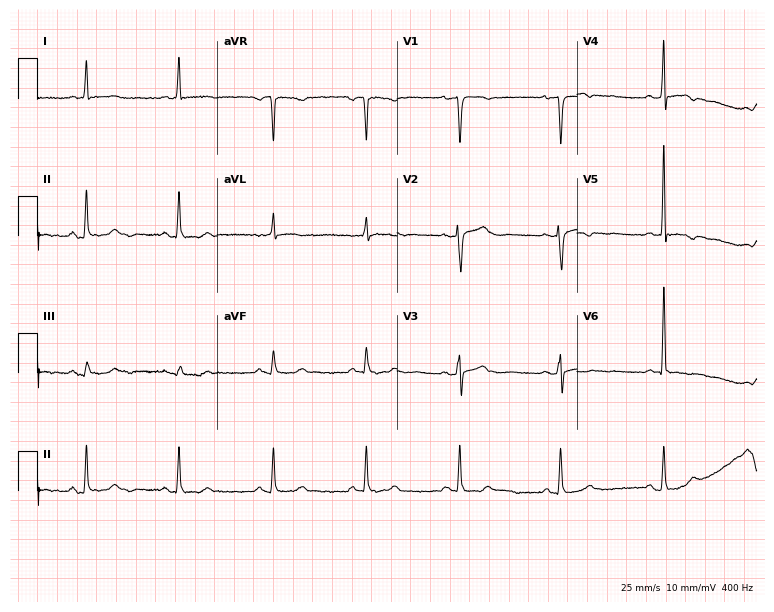
12-lead ECG (7.3-second recording at 400 Hz) from a woman, 37 years old. Screened for six findings — first-degree AV block, right bundle branch block, left bundle branch block, sinus bradycardia, atrial fibrillation, sinus tachycardia — none is recorded. Findings outside these six are not listed.